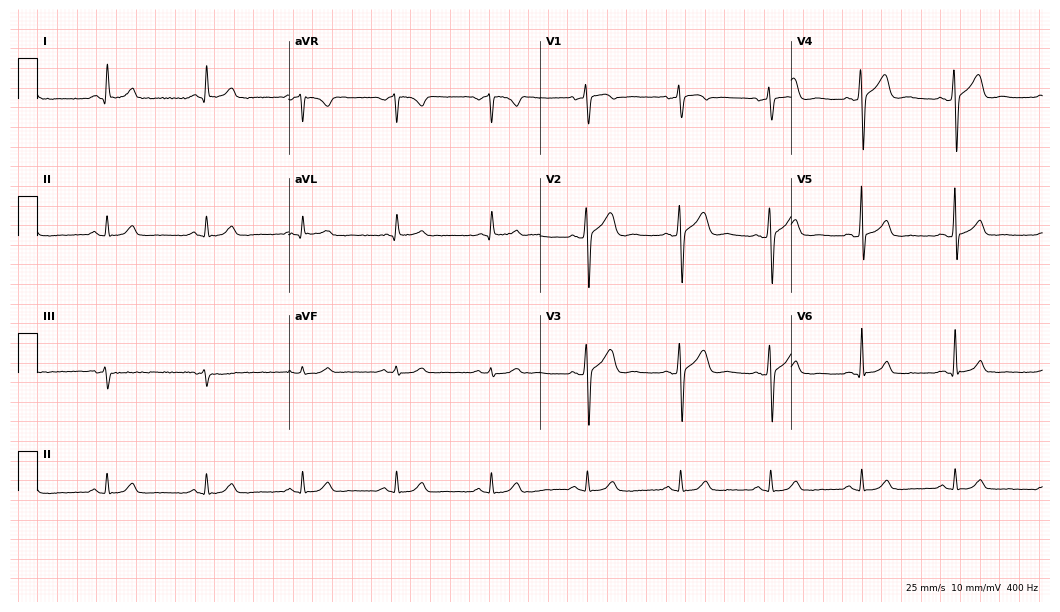
Standard 12-lead ECG recorded from a 52-year-old man (10.2-second recording at 400 Hz). Read as a normal ECG.